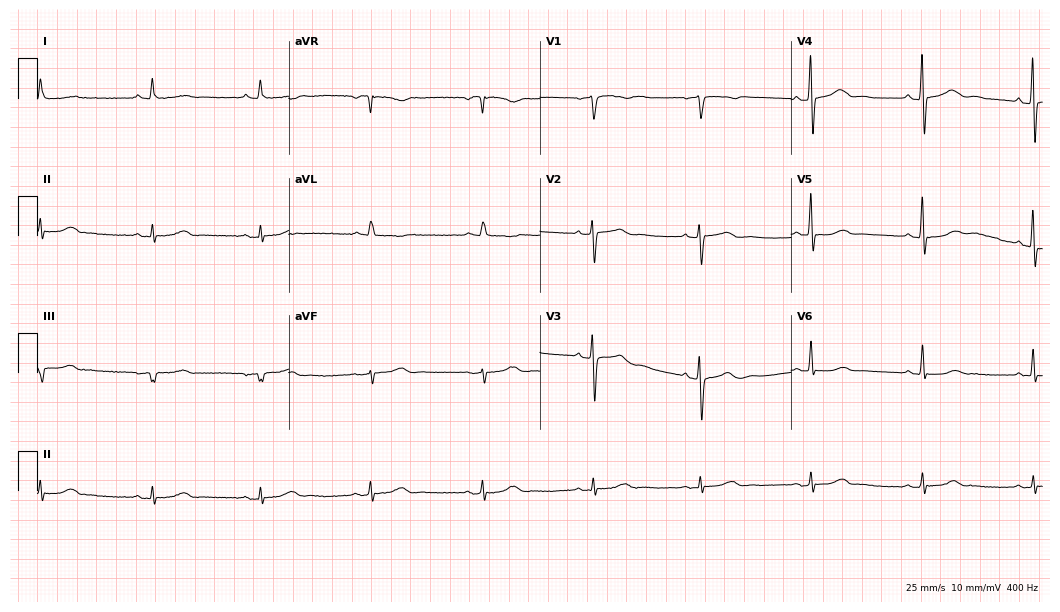
12-lead ECG from a male, 72 years old. No first-degree AV block, right bundle branch block (RBBB), left bundle branch block (LBBB), sinus bradycardia, atrial fibrillation (AF) or sinus tachycardia recorded for this tracing. Findings outside these six are not listed.